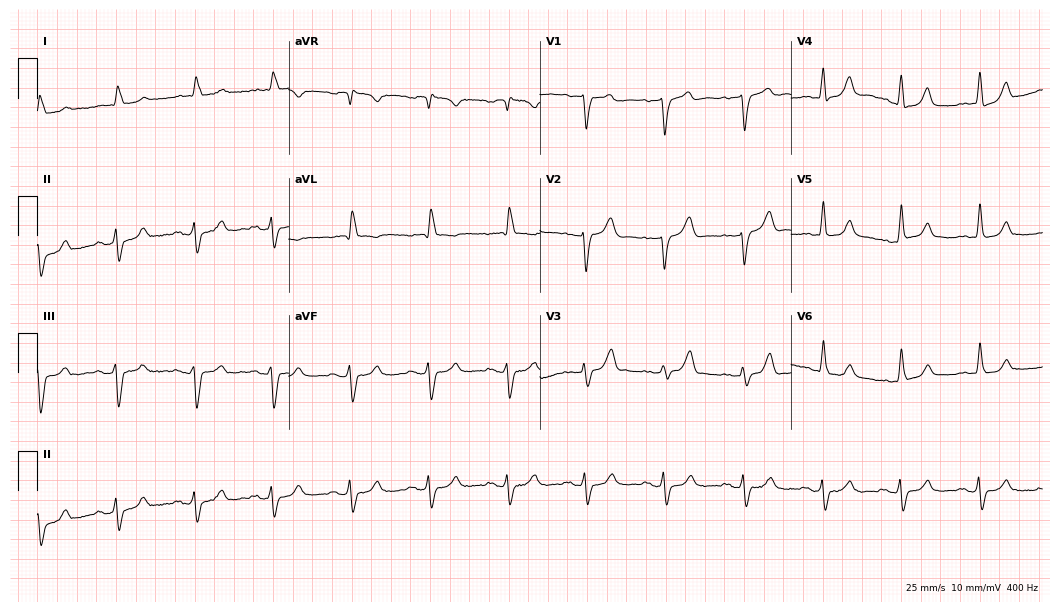
ECG — an 81-year-old male. Screened for six findings — first-degree AV block, right bundle branch block, left bundle branch block, sinus bradycardia, atrial fibrillation, sinus tachycardia — none is recorded.